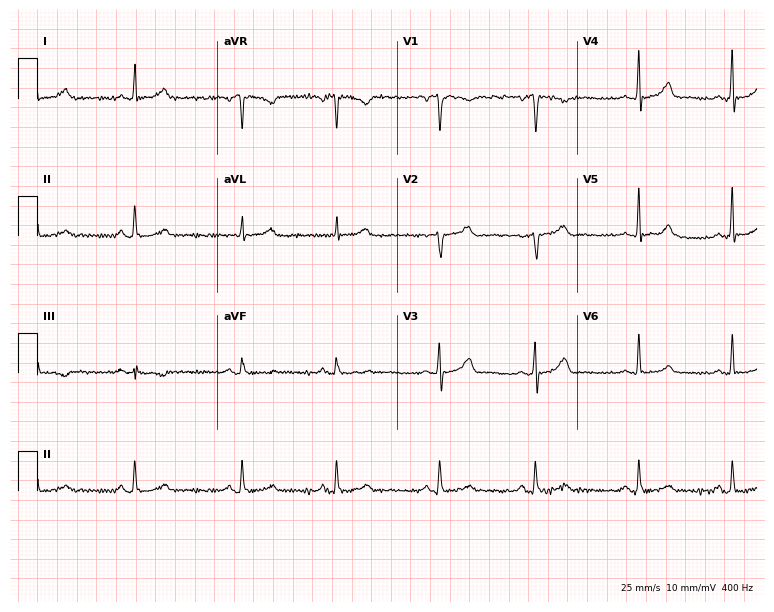
12-lead ECG from a woman, 43 years old. Recorded interpretation: within normal limits.